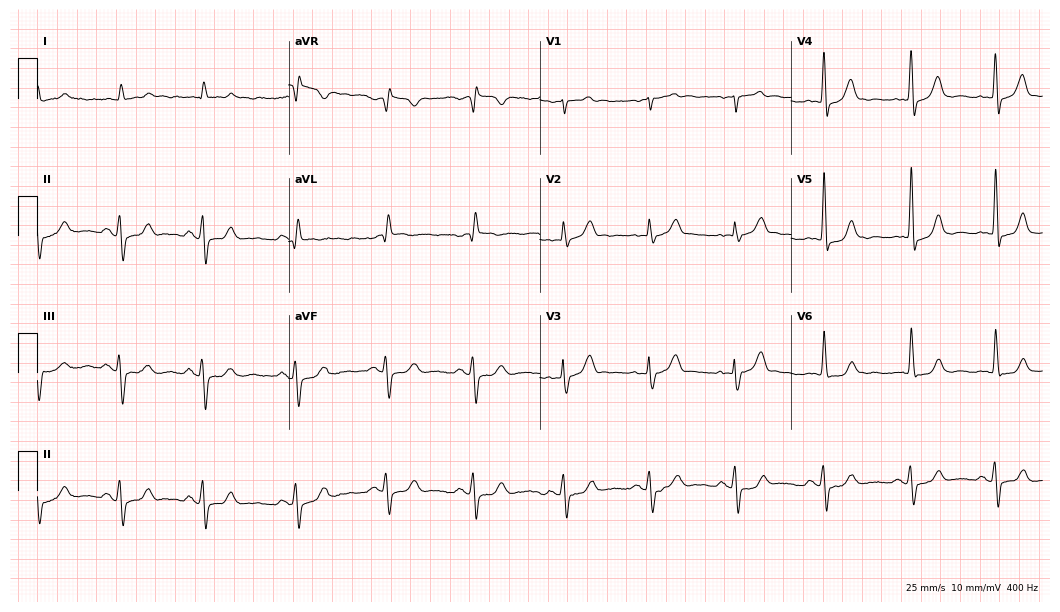
Resting 12-lead electrocardiogram (10.2-second recording at 400 Hz). Patient: a male, 73 years old. Read as a normal ECG.